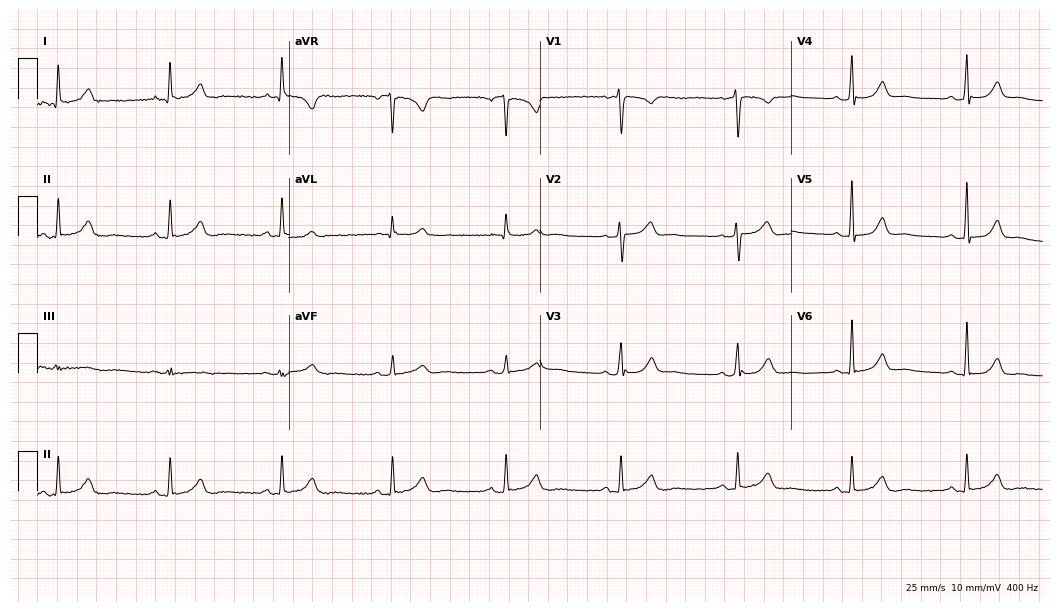
Resting 12-lead electrocardiogram (10.2-second recording at 400 Hz). Patient: a female, 59 years old. Read as a normal ECG.